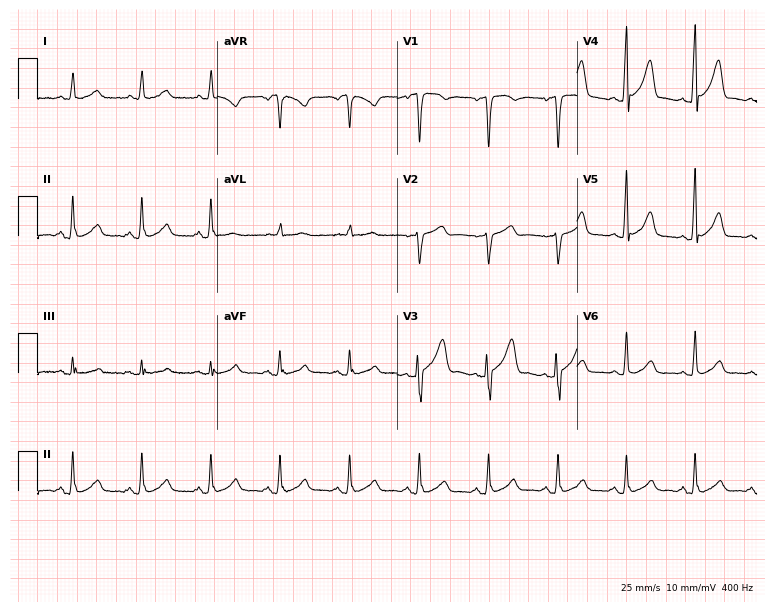
ECG (7.3-second recording at 400 Hz) — a 57-year-old female. Labelled as a normal ECG.